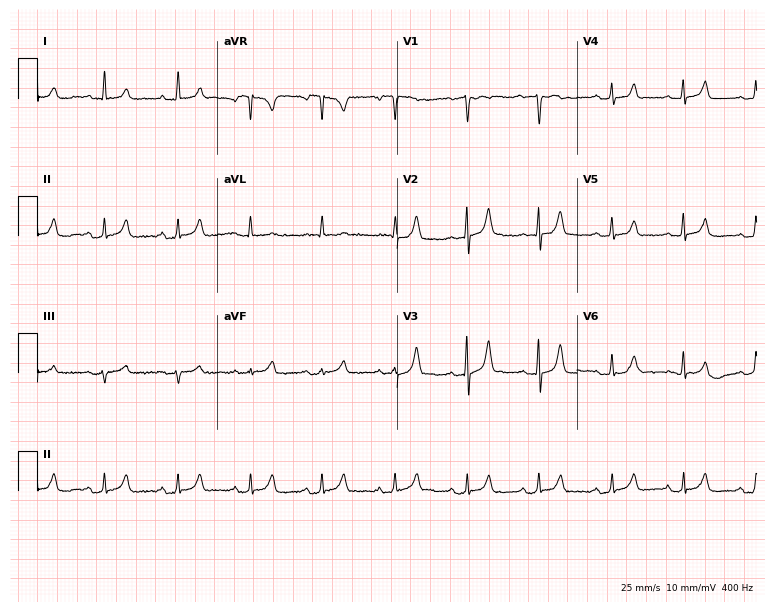
12-lead ECG from a 72-year-old woman. Labelled as a normal ECG.